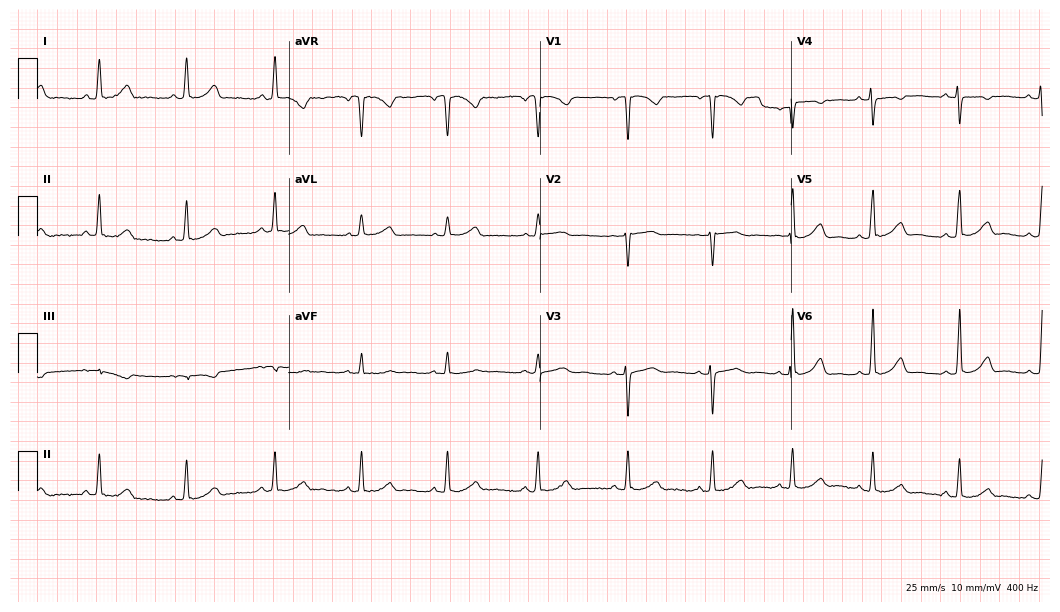
12-lead ECG from a 50-year-old female patient (10.2-second recording at 400 Hz). Recorded interpretation: within normal limits.